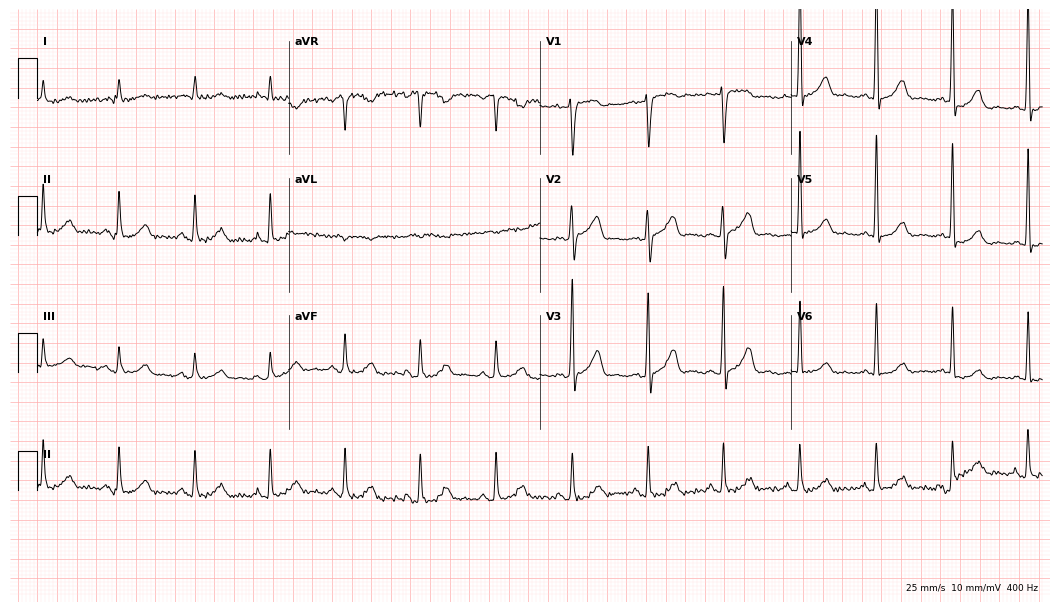
Standard 12-lead ECG recorded from a 59-year-old male (10.2-second recording at 400 Hz). Read as a normal ECG.